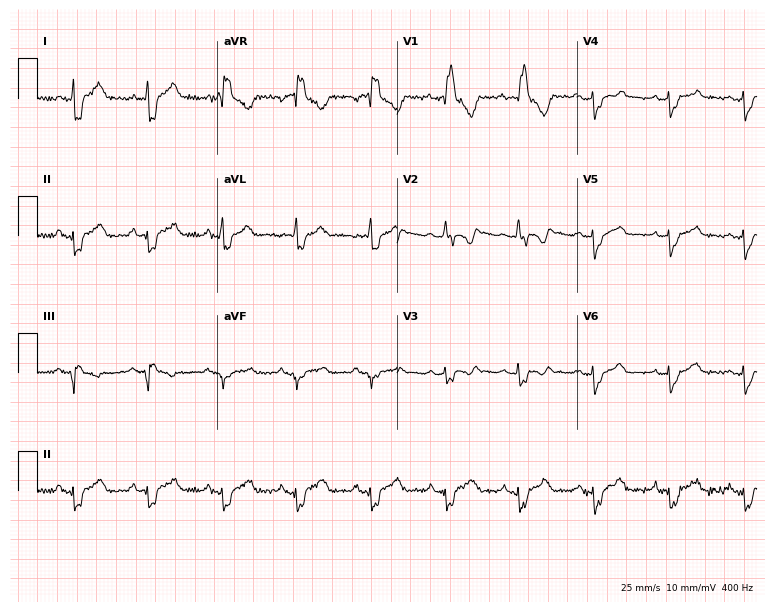
12-lead ECG from a 35-year-old male patient. Shows right bundle branch block.